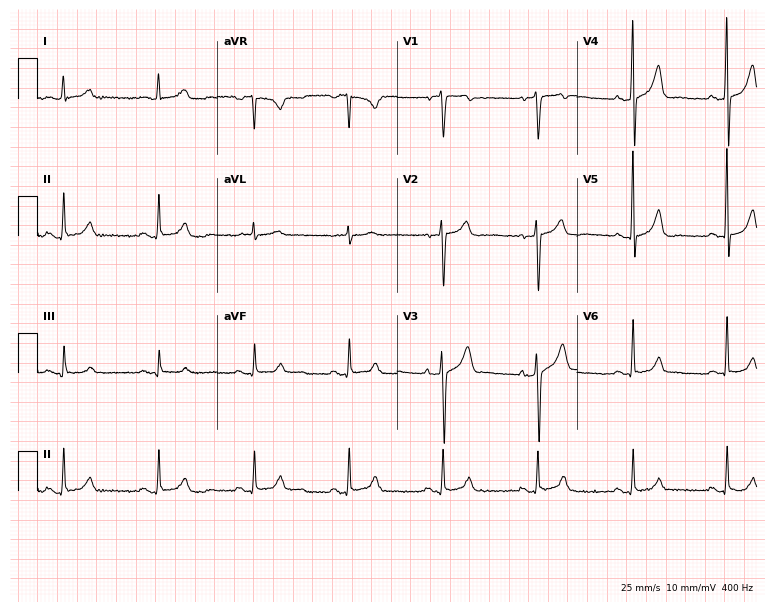
12-lead ECG from a male, 78 years old. Labelled as a normal ECG.